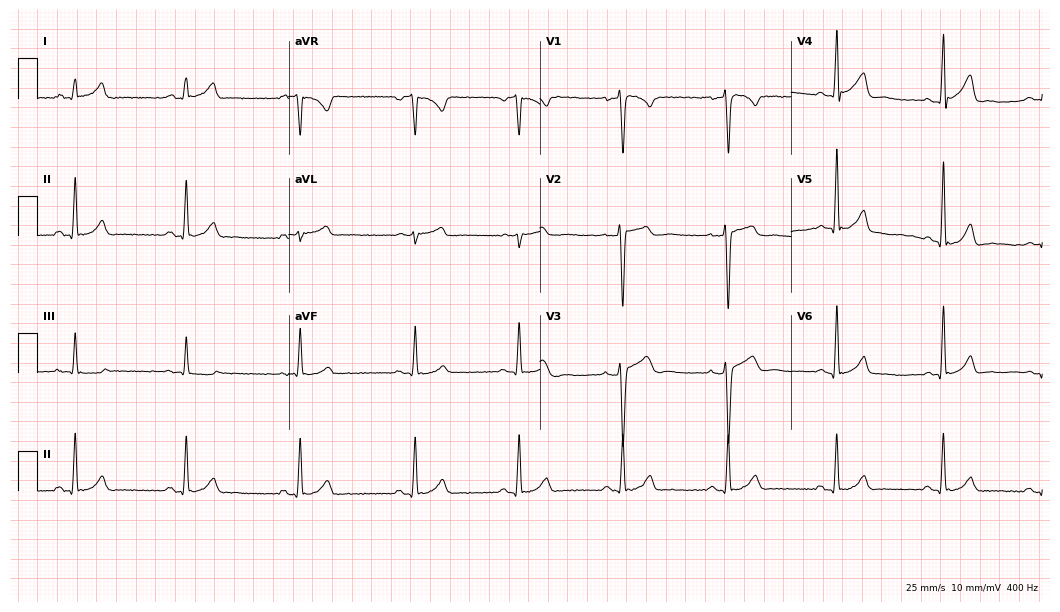
Resting 12-lead electrocardiogram. Patient: a male, 31 years old. Read as a normal ECG.